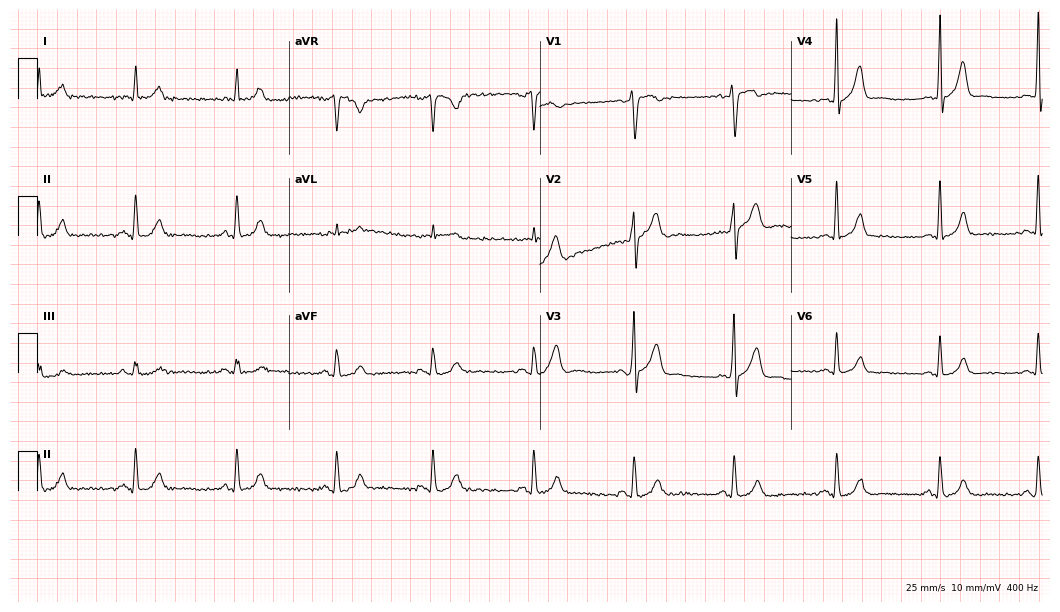
ECG — a 31-year-old male. Labelled as a normal ECG.